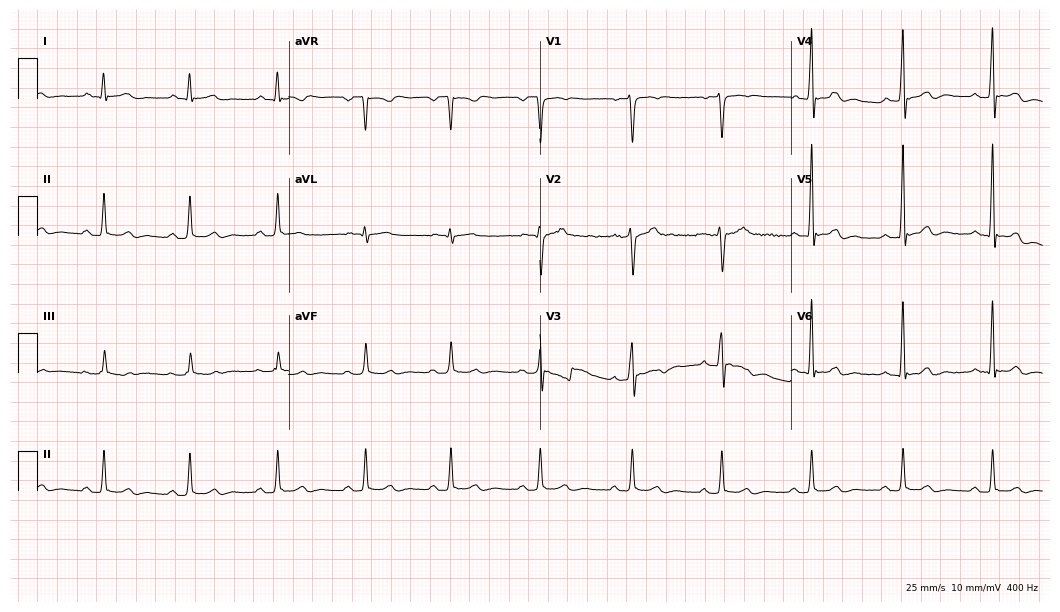
Standard 12-lead ECG recorded from a 47-year-old male (10.2-second recording at 400 Hz). None of these six findings is recorded: first-degree AV block, right bundle branch block, left bundle branch block, sinus bradycardia, atrial fibrillation, sinus tachycardia. Only these six findings were labelled.